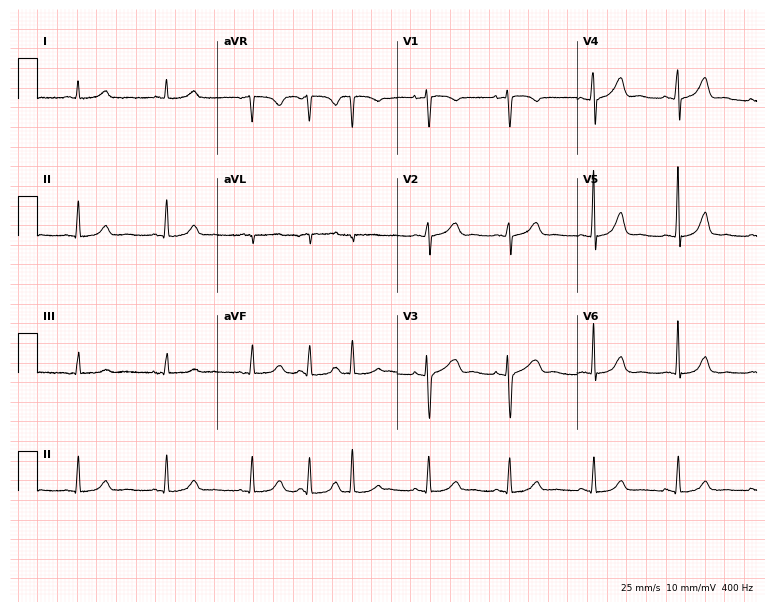
Standard 12-lead ECG recorded from a 51-year-old female. None of these six findings is recorded: first-degree AV block, right bundle branch block (RBBB), left bundle branch block (LBBB), sinus bradycardia, atrial fibrillation (AF), sinus tachycardia. Other findings, if any, are not listed.